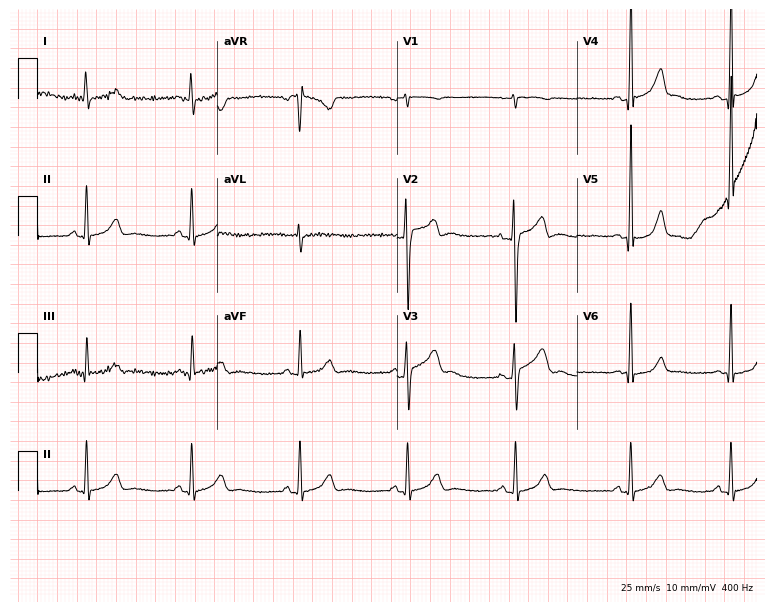
Resting 12-lead electrocardiogram (7.3-second recording at 400 Hz). Patient: a man, 28 years old. Read as a normal ECG.